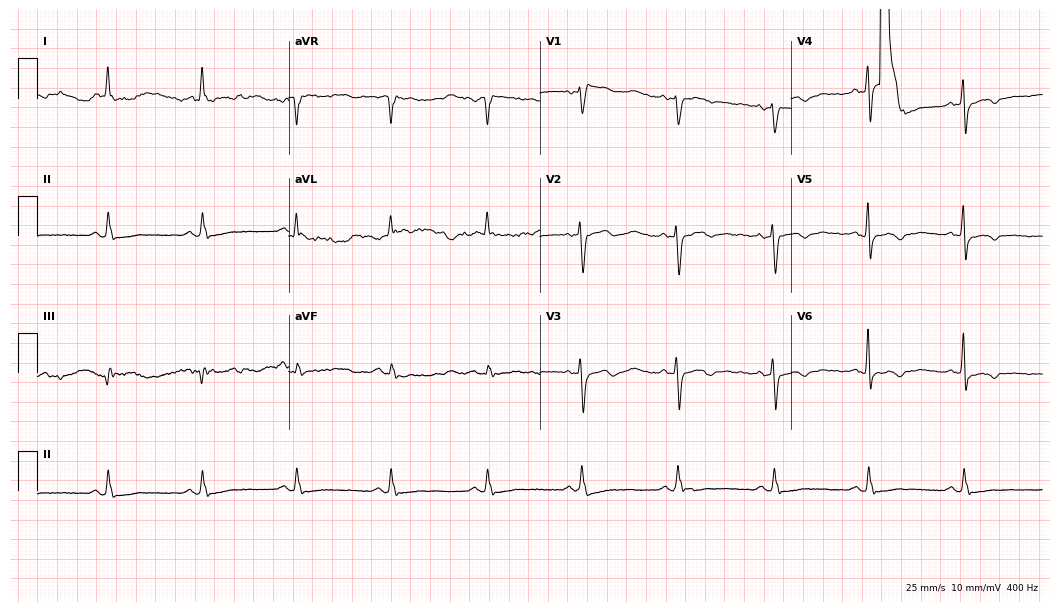
ECG (10.2-second recording at 400 Hz) — a female patient, 76 years old. Screened for six findings — first-degree AV block, right bundle branch block, left bundle branch block, sinus bradycardia, atrial fibrillation, sinus tachycardia — none is recorded. Findings outside these six are not listed.